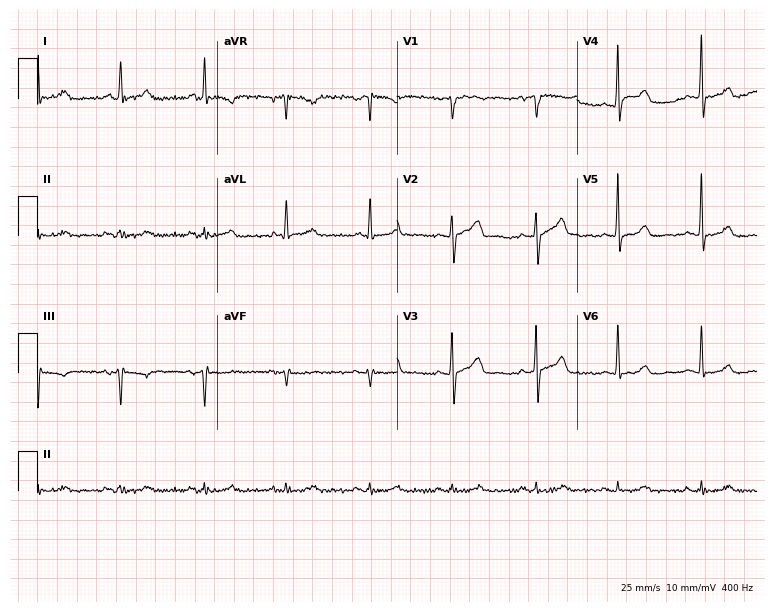
Standard 12-lead ECG recorded from a female patient, 54 years old. Read as a normal ECG.